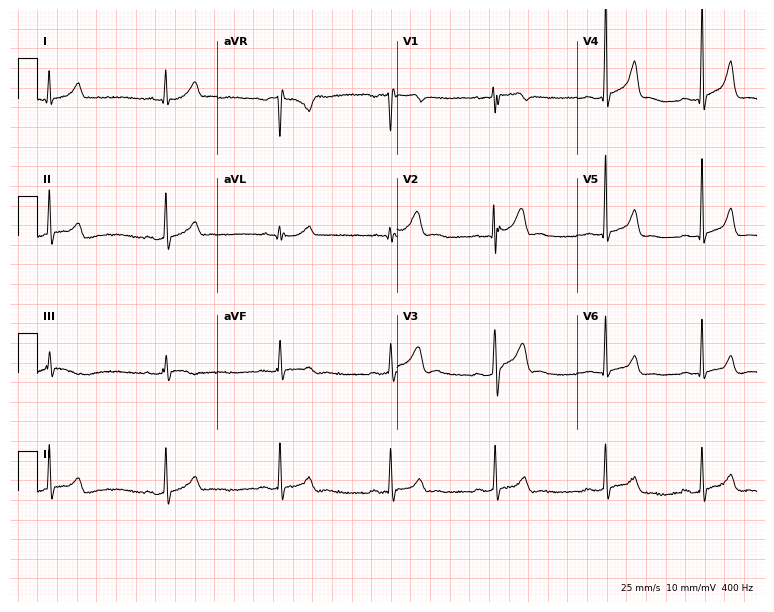
12-lead ECG (7.3-second recording at 400 Hz) from a 28-year-old male patient. Labelled as a normal ECG.